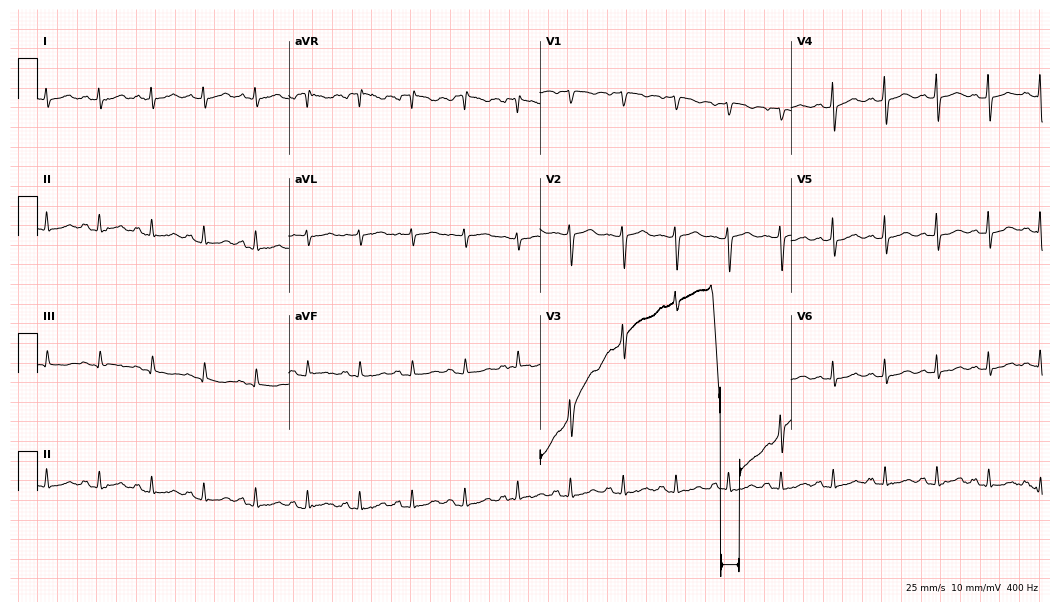
12-lead ECG from a woman, 57 years old. Screened for six findings — first-degree AV block, right bundle branch block, left bundle branch block, sinus bradycardia, atrial fibrillation, sinus tachycardia — none is recorded.